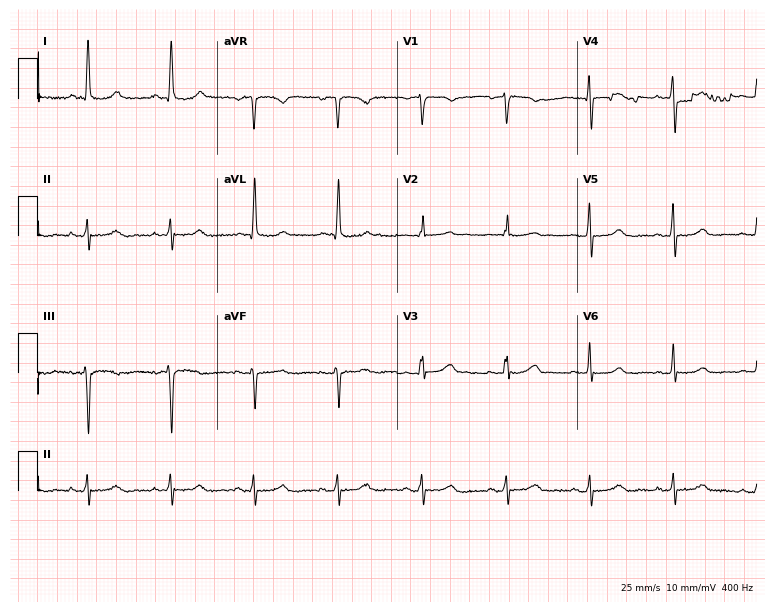
12-lead ECG from a woman, 67 years old (7.3-second recording at 400 Hz). Recorded interpretation: within normal limits.